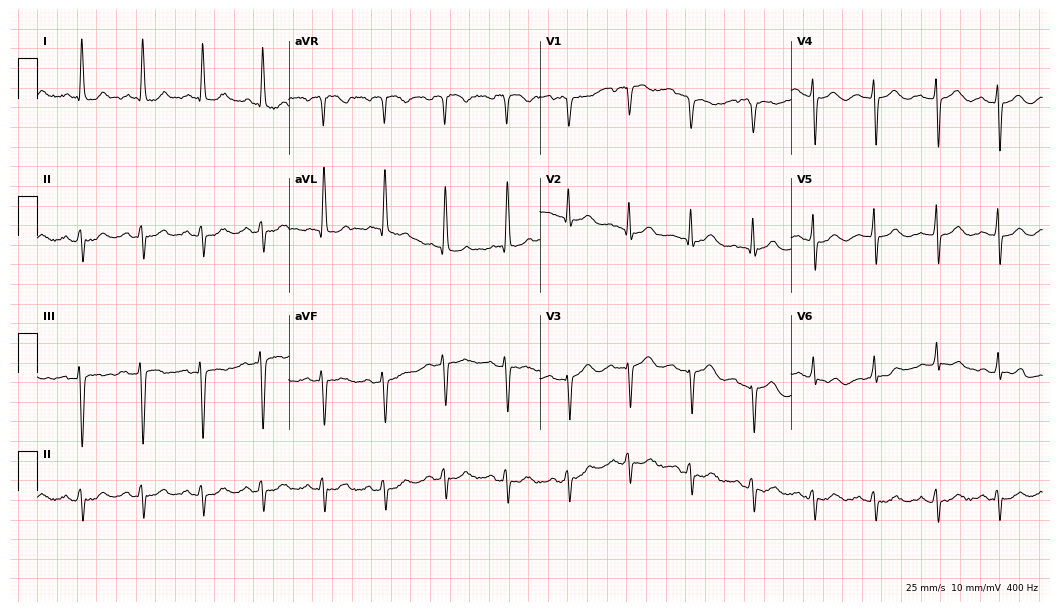
12-lead ECG from a female, 82 years old (10.2-second recording at 400 Hz). No first-degree AV block, right bundle branch block (RBBB), left bundle branch block (LBBB), sinus bradycardia, atrial fibrillation (AF) or sinus tachycardia recorded for this tracing.